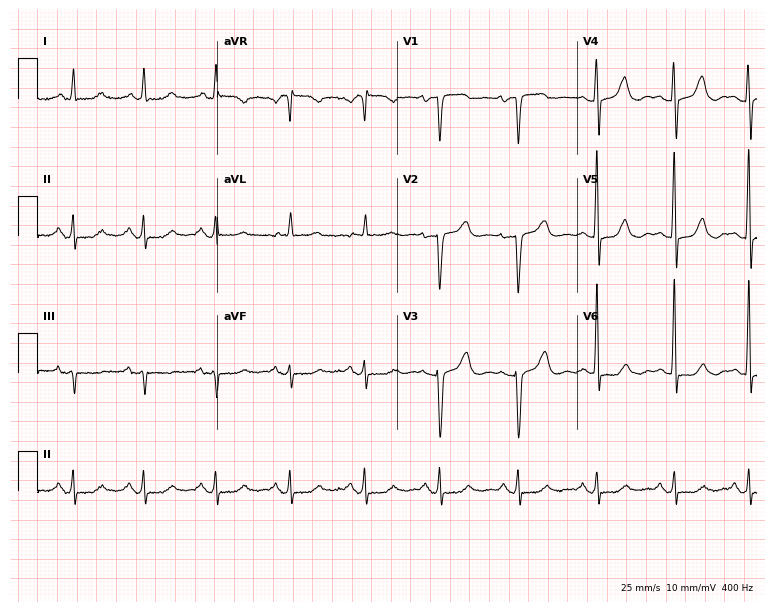
12-lead ECG from a 63-year-old female. Labelled as a normal ECG.